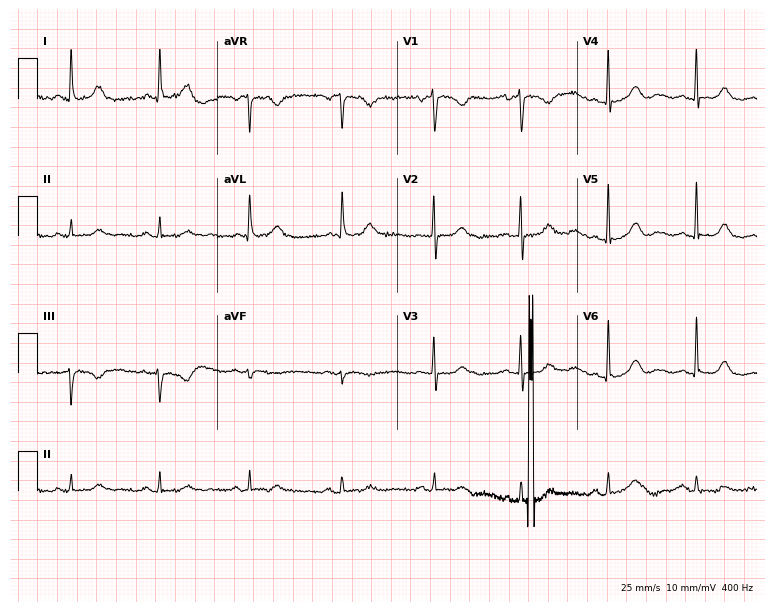
ECG (7.3-second recording at 400 Hz) — an 85-year-old woman. Screened for six findings — first-degree AV block, right bundle branch block (RBBB), left bundle branch block (LBBB), sinus bradycardia, atrial fibrillation (AF), sinus tachycardia — none is recorded.